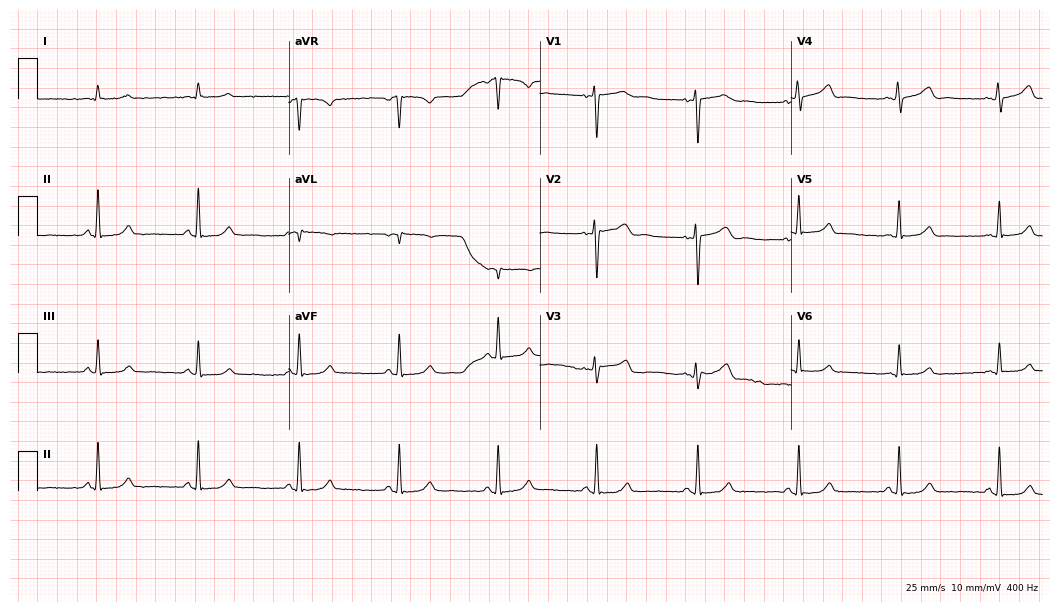
12-lead ECG (10.2-second recording at 400 Hz) from a 39-year-old female. Screened for six findings — first-degree AV block, right bundle branch block, left bundle branch block, sinus bradycardia, atrial fibrillation, sinus tachycardia — none is recorded.